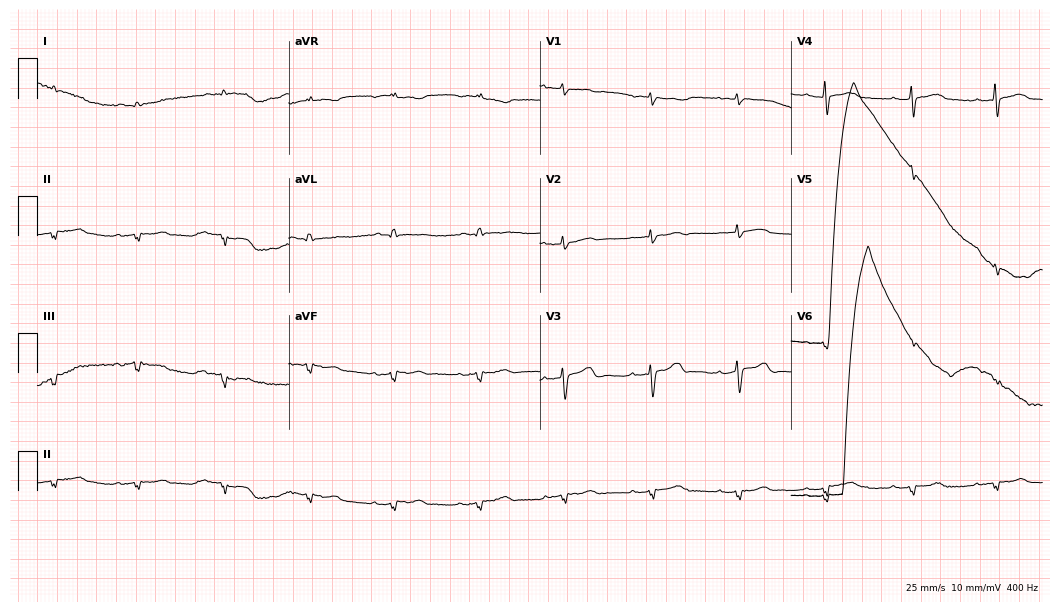
ECG — a 76-year-old woman. Screened for six findings — first-degree AV block, right bundle branch block, left bundle branch block, sinus bradycardia, atrial fibrillation, sinus tachycardia — none is recorded.